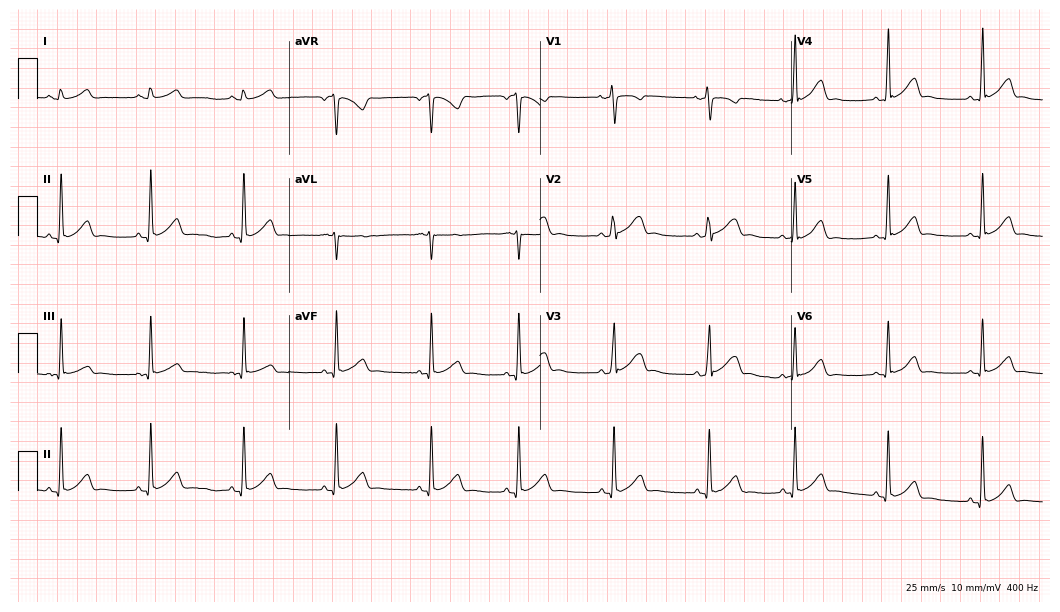
12-lead ECG from a female patient, 20 years old. Recorded interpretation: within normal limits.